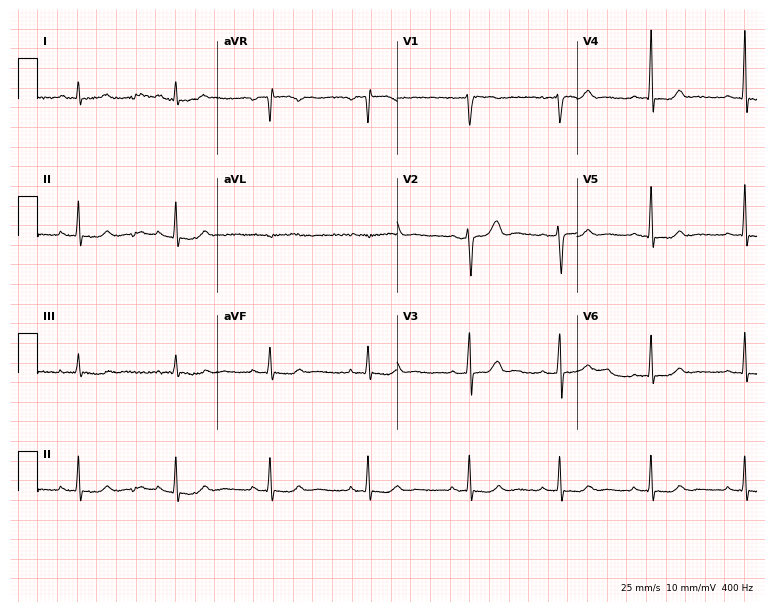
Electrocardiogram (7.3-second recording at 400 Hz), a female patient, 39 years old. Of the six screened findings (first-degree AV block, right bundle branch block, left bundle branch block, sinus bradycardia, atrial fibrillation, sinus tachycardia), none is recorded. Other findings, if any, are not listed.